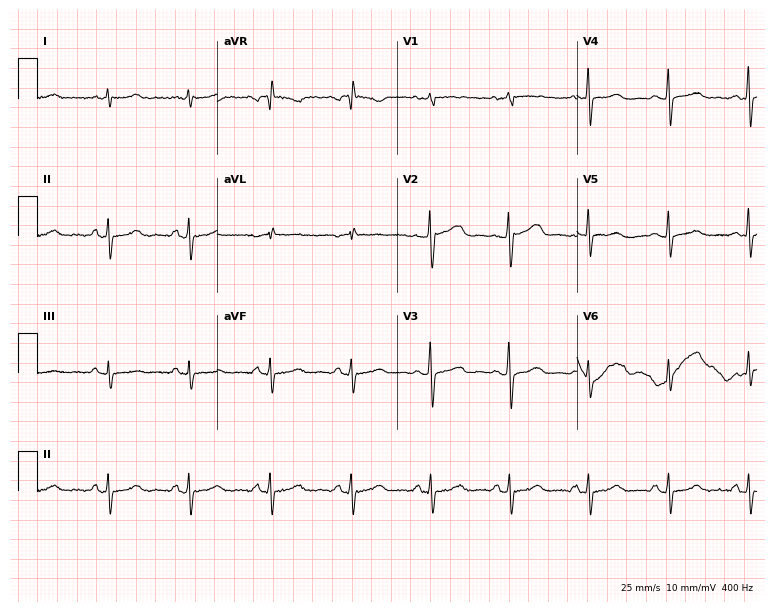
12-lead ECG from a 58-year-old female. No first-degree AV block, right bundle branch block, left bundle branch block, sinus bradycardia, atrial fibrillation or sinus tachycardia recorded for this tracing.